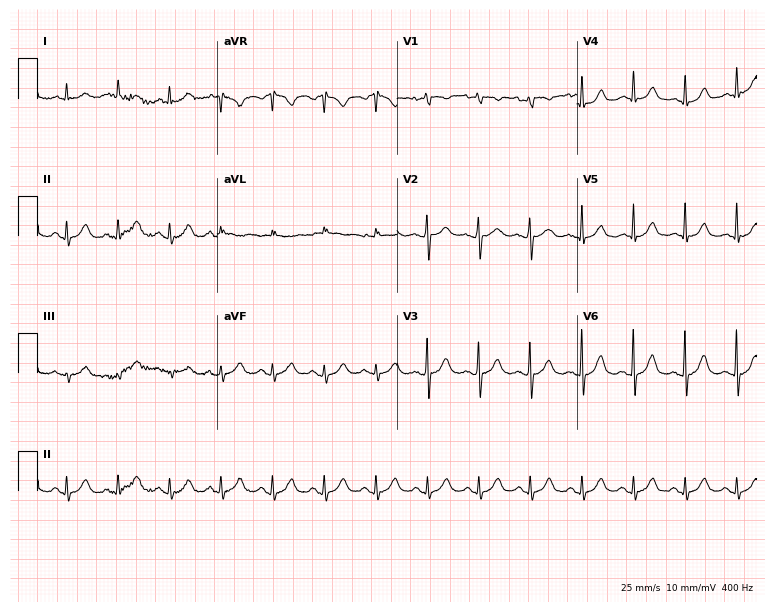
Resting 12-lead electrocardiogram (7.3-second recording at 400 Hz). Patient: a 78-year-old male. The tracing shows sinus tachycardia (a sinus rate of 100 beats per minute or more).